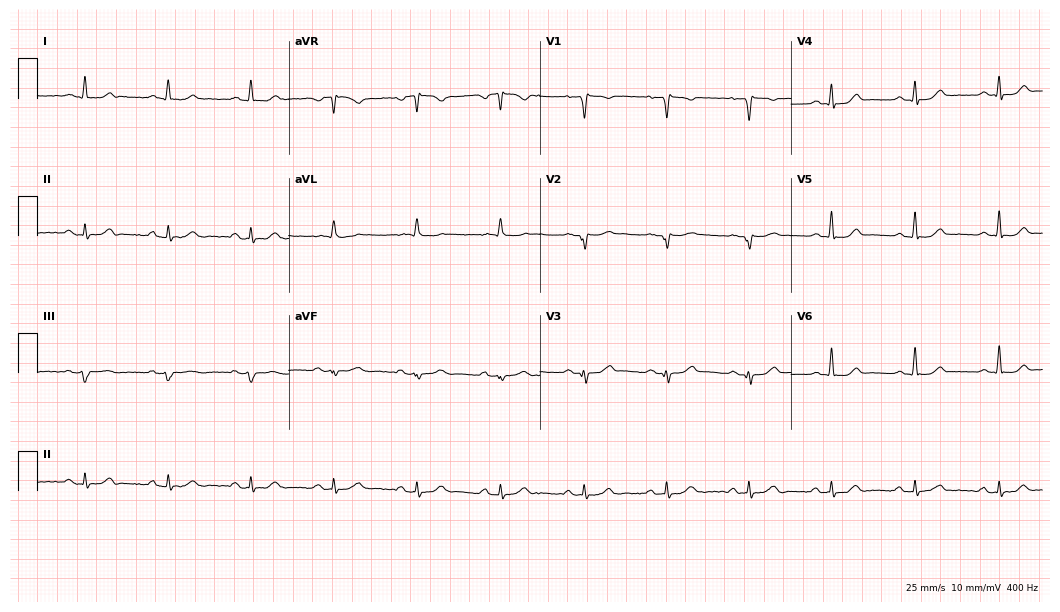
Resting 12-lead electrocardiogram (10.2-second recording at 400 Hz). Patient: a male, 63 years old. None of these six findings is recorded: first-degree AV block, right bundle branch block, left bundle branch block, sinus bradycardia, atrial fibrillation, sinus tachycardia.